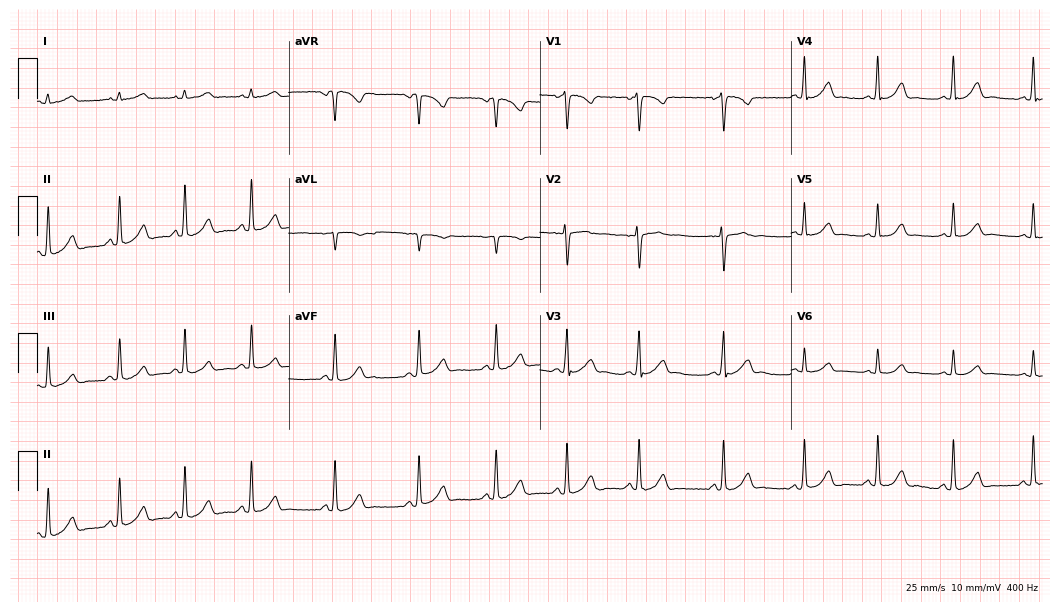
Standard 12-lead ECG recorded from a woman, 17 years old. Read as a normal ECG.